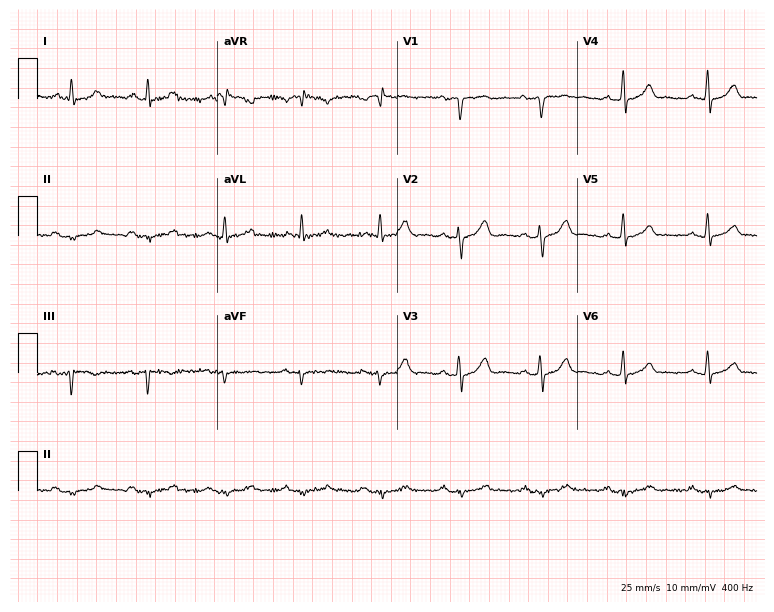
ECG — a man, 64 years old. Screened for six findings — first-degree AV block, right bundle branch block (RBBB), left bundle branch block (LBBB), sinus bradycardia, atrial fibrillation (AF), sinus tachycardia — none is recorded. Only these six findings were labelled.